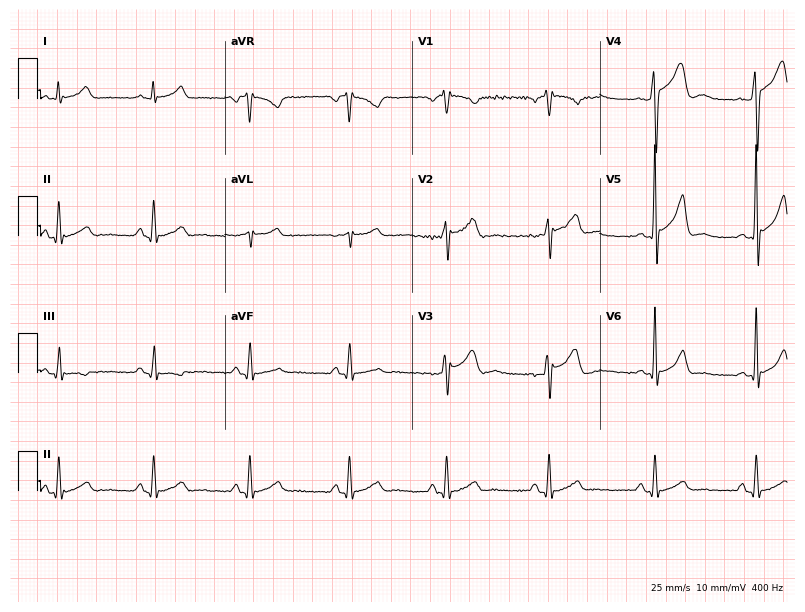
Standard 12-lead ECG recorded from a male, 34 years old. Read as a normal ECG.